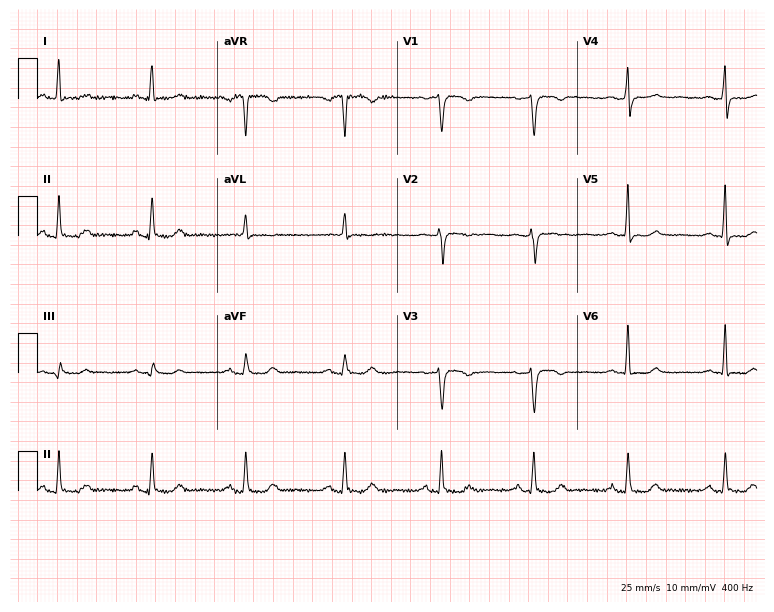
Electrocardiogram, a 51-year-old female. Of the six screened findings (first-degree AV block, right bundle branch block, left bundle branch block, sinus bradycardia, atrial fibrillation, sinus tachycardia), none is recorded.